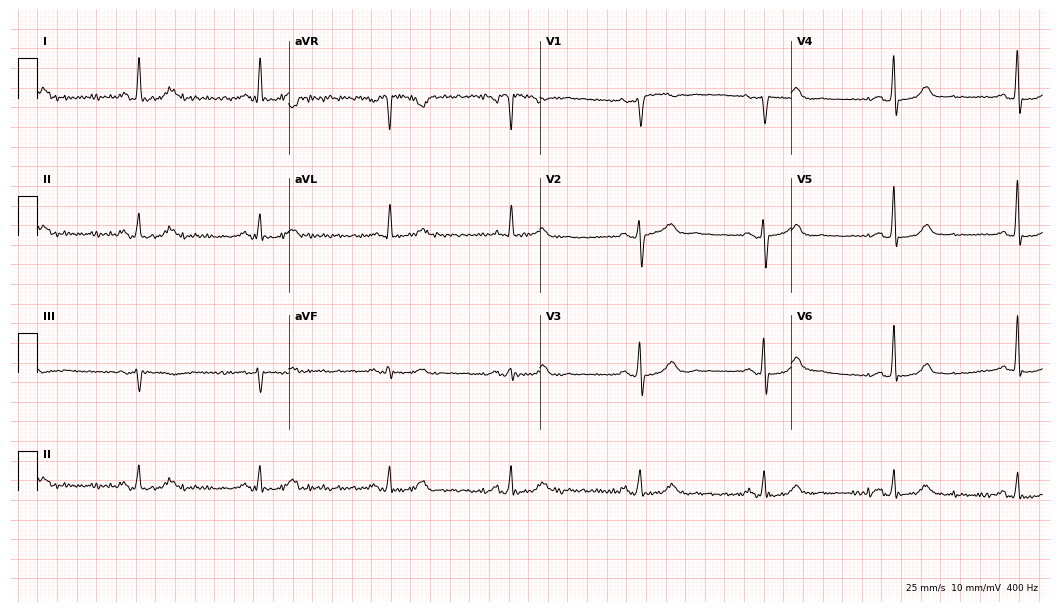
12-lead ECG from a 45-year-old female patient. Shows sinus bradycardia (a sinus rate of 50 beats per minute or less).